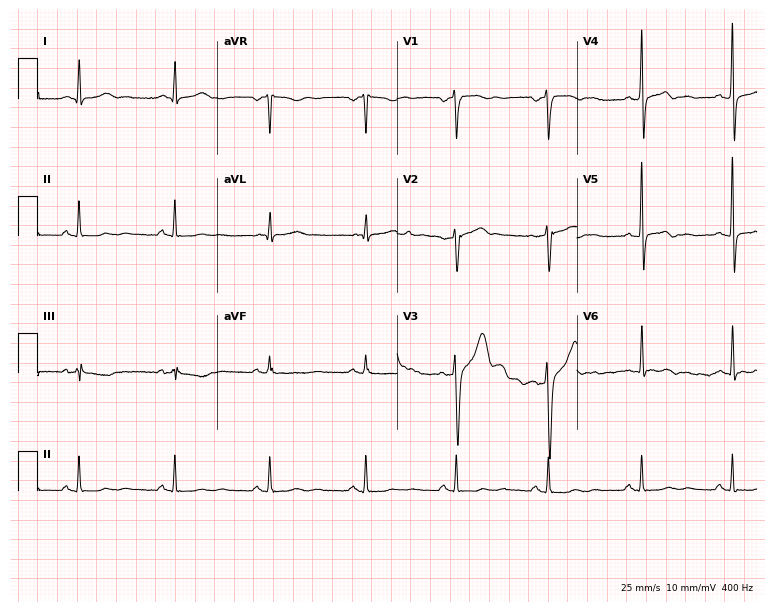
12-lead ECG from a male, 33 years old. Screened for six findings — first-degree AV block, right bundle branch block, left bundle branch block, sinus bradycardia, atrial fibrillation, sinus tachycardia — none is recorded.